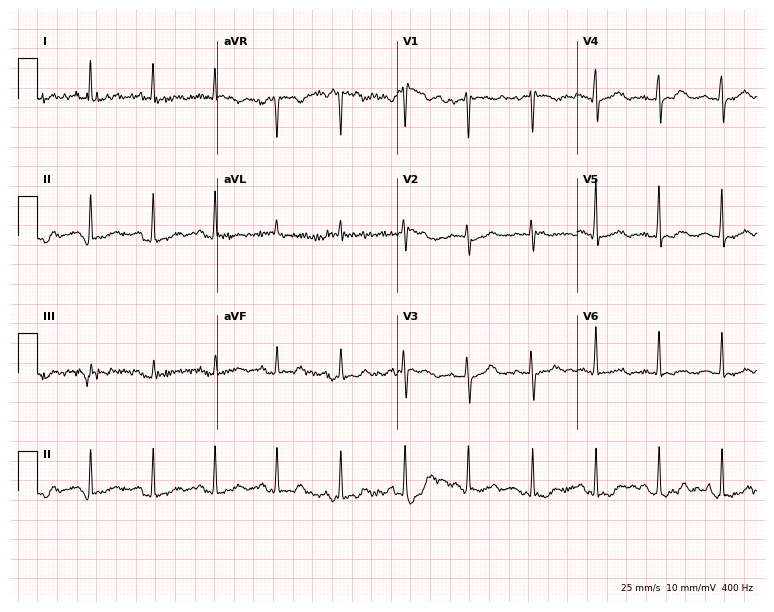
Standard 12-lead ECG recorded from a 54-year-old female. Read as a normal ECG.